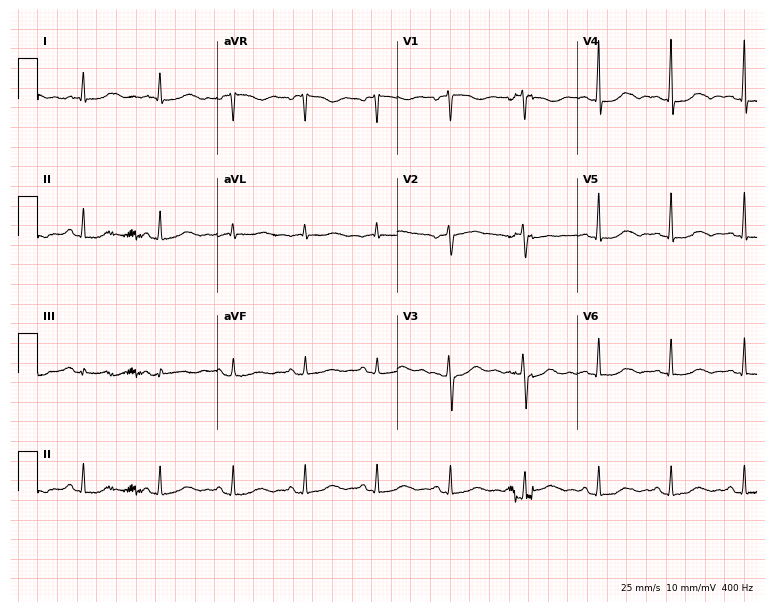
ECG (7.3-second recording at 400 Hz) — a 63-year-old female patient. Screened for six findings — first-degree AV block, right bundle branch block (RBBB), left bundle branch block (LBBB), sinus bradycardia, atrial fibrillation (AF), sinus tachycardia — none is recorded. Only these six findings were labelled.